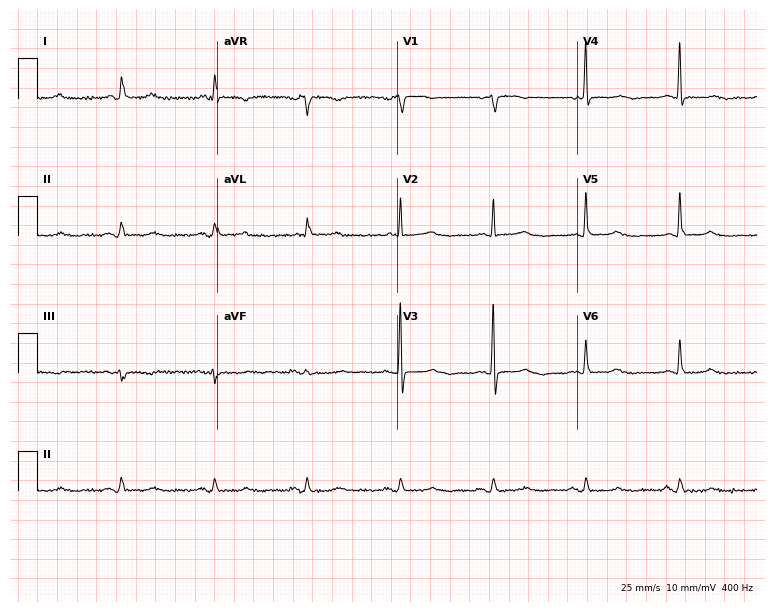
ECG (7.3-second recording at 400 Hz) — a 71-year-old woman. Screened for six findings — first-degree AV block, right bundle branch block, left bundle branch block, sinus bradycardia, atrial fibrillation, sinus tachycardia — none is recorded.